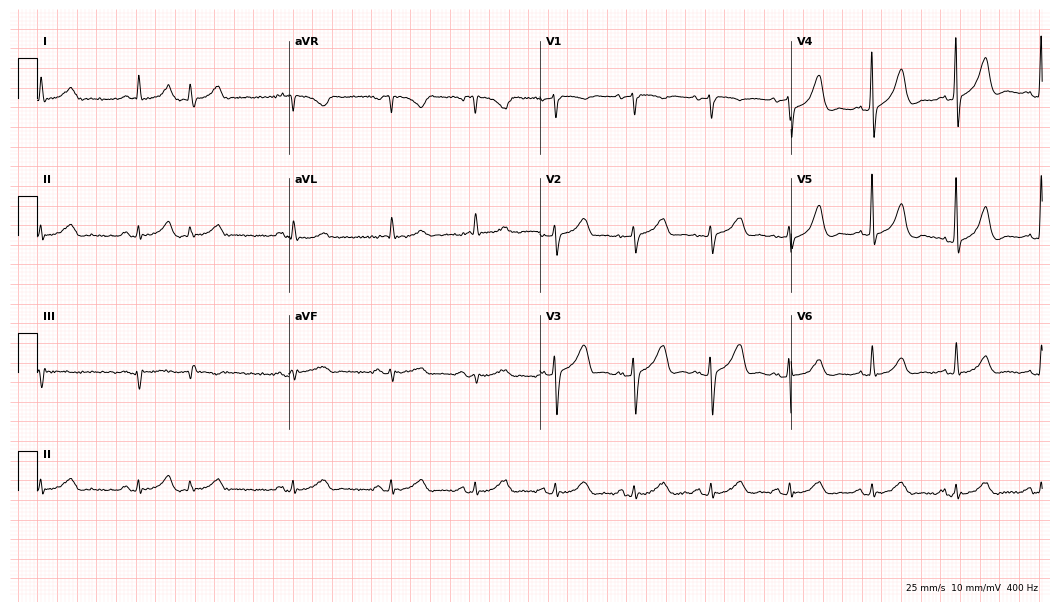
12-lead ECG from a male patient, 80 years old. No first-degree AV block, right bundle branch block (RBBB), left bundle branch block (LBBB), sinus bradycardia, atrial fibrillation (AF) or sinus tachycardia recorded for this tracing. Other findings, if any, are not listed.